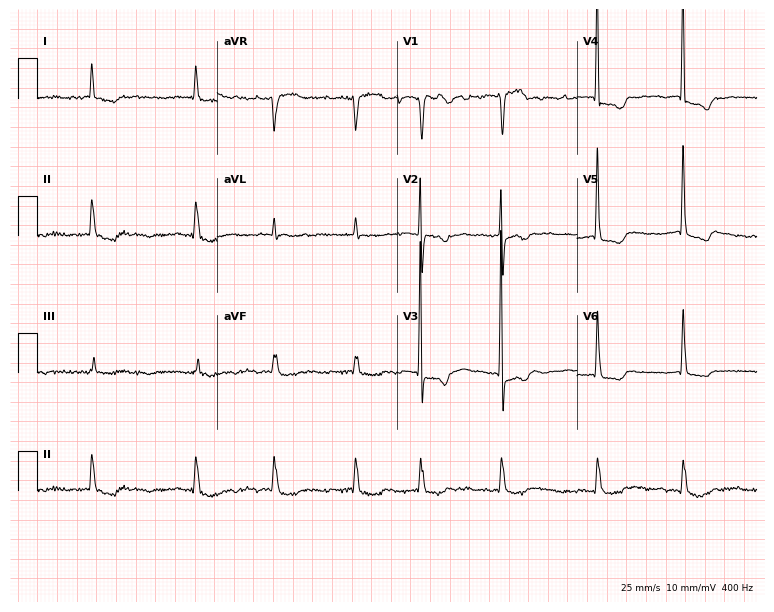
Resting 12-lead electrocardiogram (7.3-second recording at 400 Hz). Patient: an 84-year-old female. The tracing shows atrial fibrillation (AF).